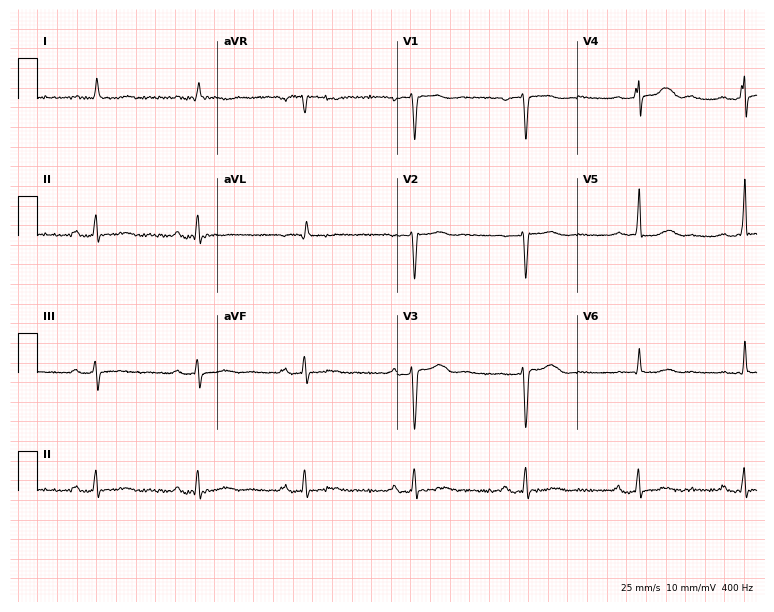
Resting 12-lead electrocardiogram. Patient: a 43-year-old male. The tracing shows first-degree AV block.